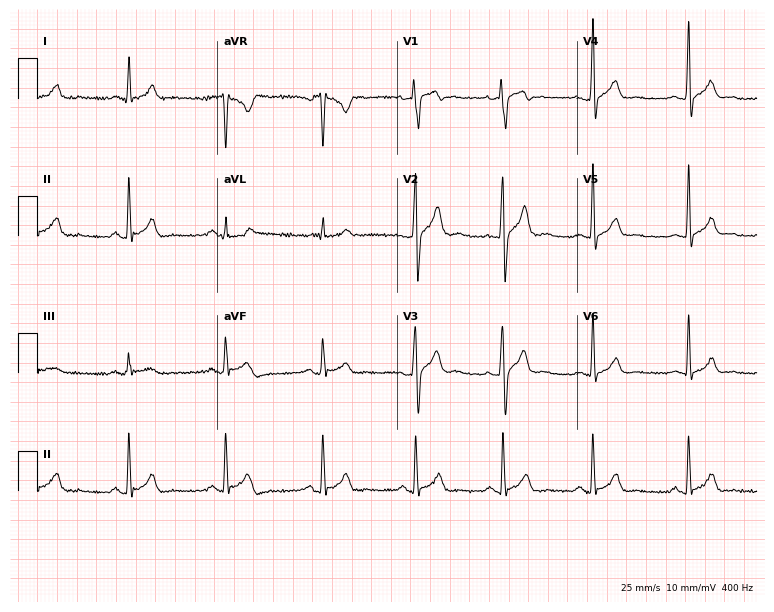
Standard 12-lead ECG recorded from a 24-year-old male patient. Read as a normal ECG.